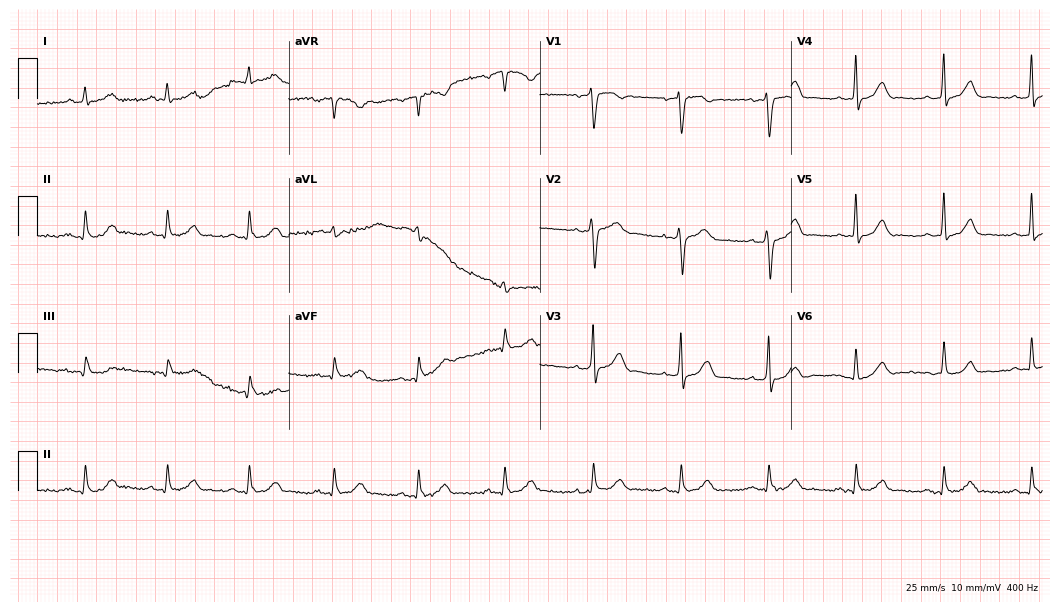
Resting 12-lead electrocardiogram. Patient: a male, 60 years old. Read as a normal ECG.